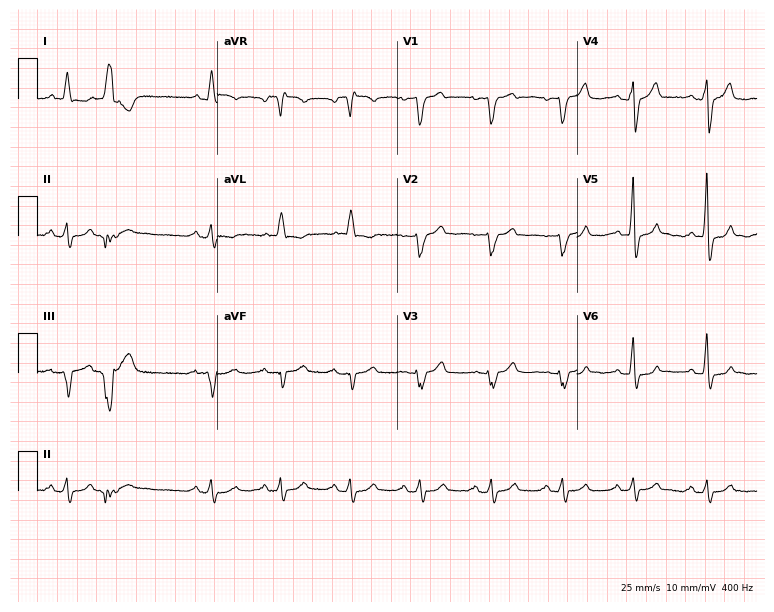
ECG — a female, 68 years old. Screened for six findings — first-degree AV block, right bundle branch block, left bundle branch block, sinus bradycardia, atrial fibrillation, sinus tachycardia — none is recorded. Findings outside these six are not listed.